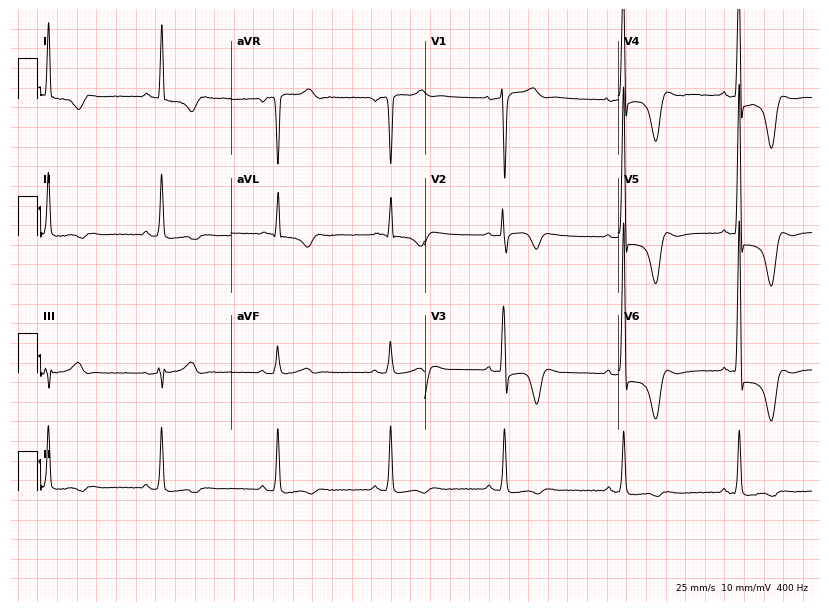
Standard 12-lead ECG recorded from a male, 84 years old (7.9-second recording at 400 Hz). None of these six findings is recorded: first-degree AV block, right bundle branch block, left bundle branch block, sinus bradycardia, atrial fibrillation, sinus tachycardia.